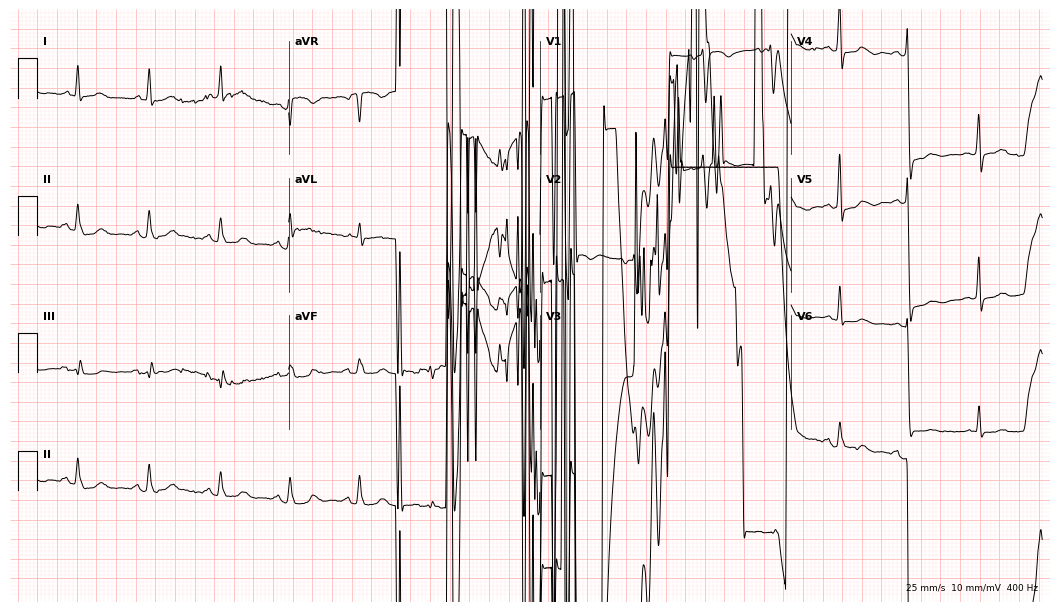
Resting 12-lead electrocardiogram. Patient: a woman, 72 years old. None of these six findings is recorded: first-degree AV block, right bundle branch block, left bundle branch block, sinus bradycardia, atrial fibrillation, sinus tachycardia.